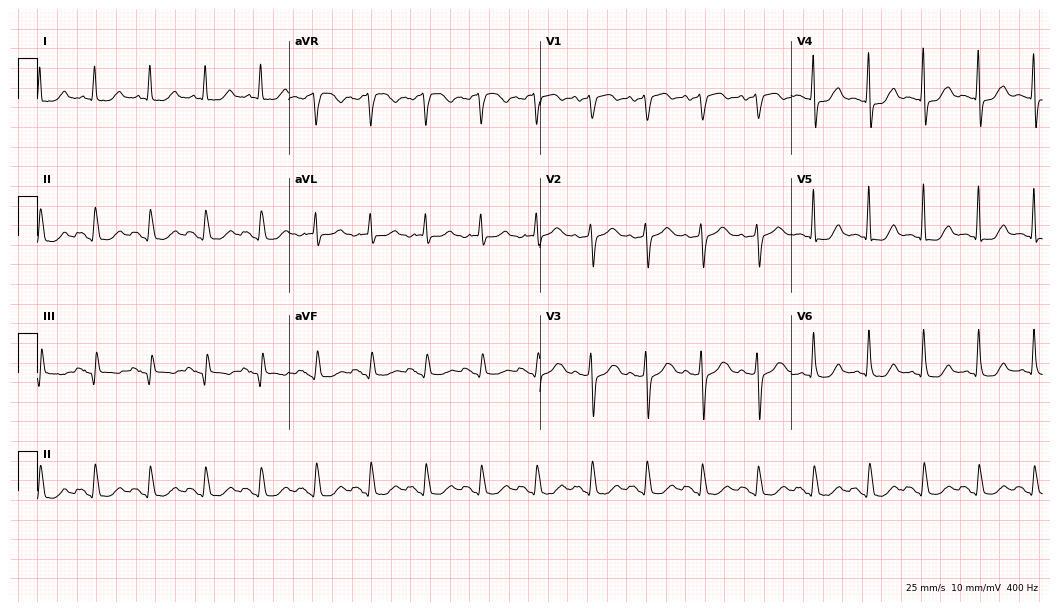
Electrocardiogram (10.2-second recording at 400 Hz), a 65-year-old female patient. Interpretation includes sinus tachycardia (a sinus rate of 100 beats per minute or more).